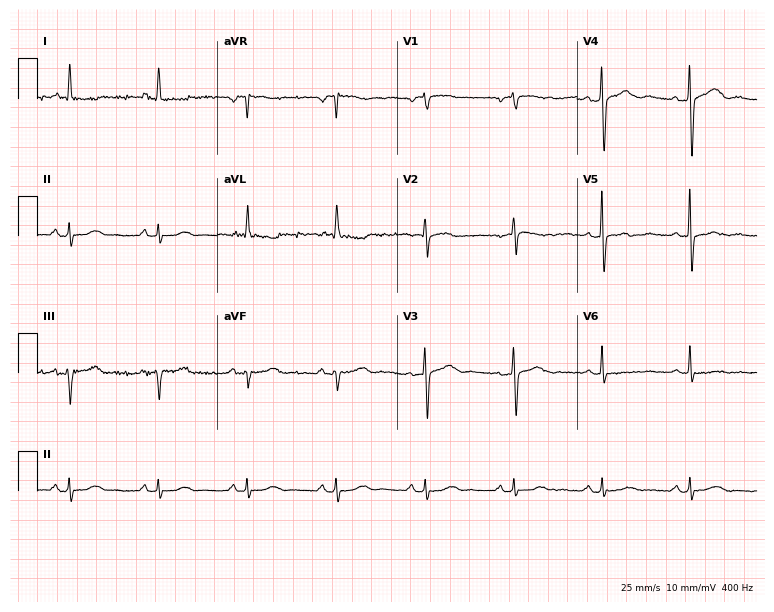
ECG — a woman, 85 years old. Screened for six findings — first-degree AV block, right bundle branch block (RBBB), left bundle branch block (LBBB), sinus bradycardia, atrial fibrillation (AF), sinus tachycardia — none is recorded.